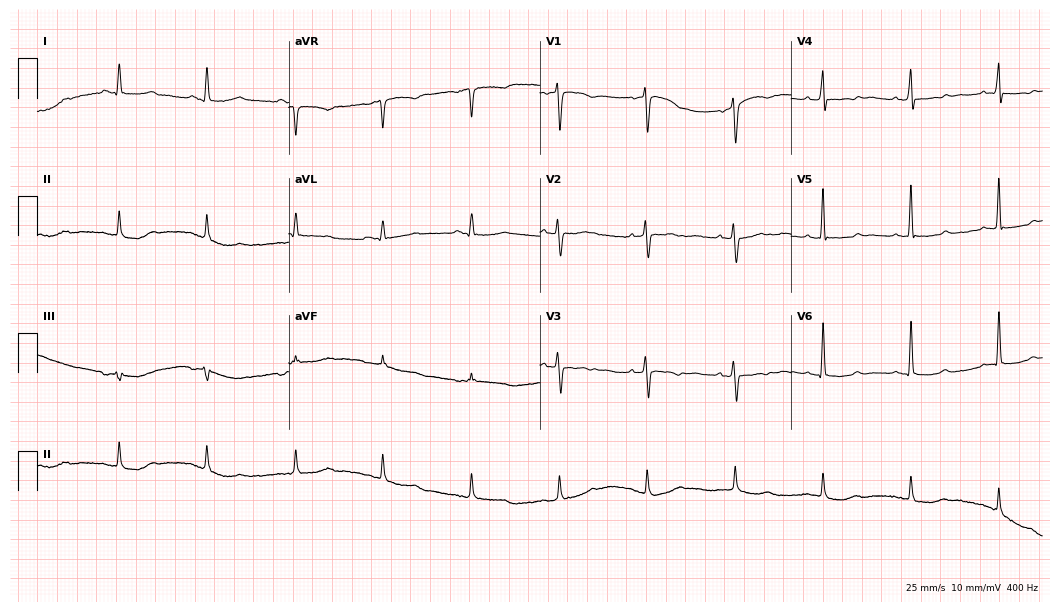
Standard 12-lead ECG recorded from a woman, 76 years old (10.2-second recording at 400 Hz). None of these six findings is recorded: first-degree AV block, right bundle branch block, left bundle branch block, sinus bradycardia, atrial fibrillation, sinus tachycardia.